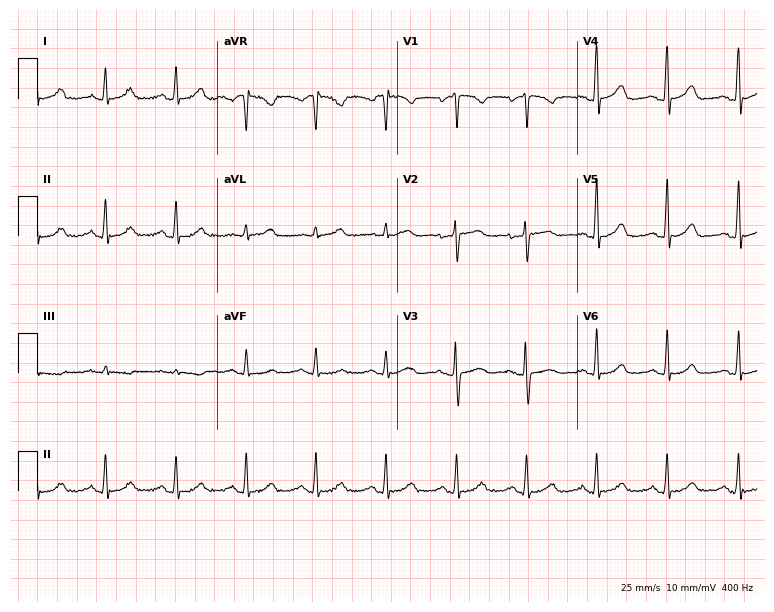
12-lead ECG (7.3-second recording at 400 Hz) from a female patient, 50 years old. Screened for six findings — first-degree AV block, right bundle branch block (RBBB), left bundle branch block (LBBB), sinus bradycardia, atrial fibrillation (AF), sinus tachycardia — none is recorded.